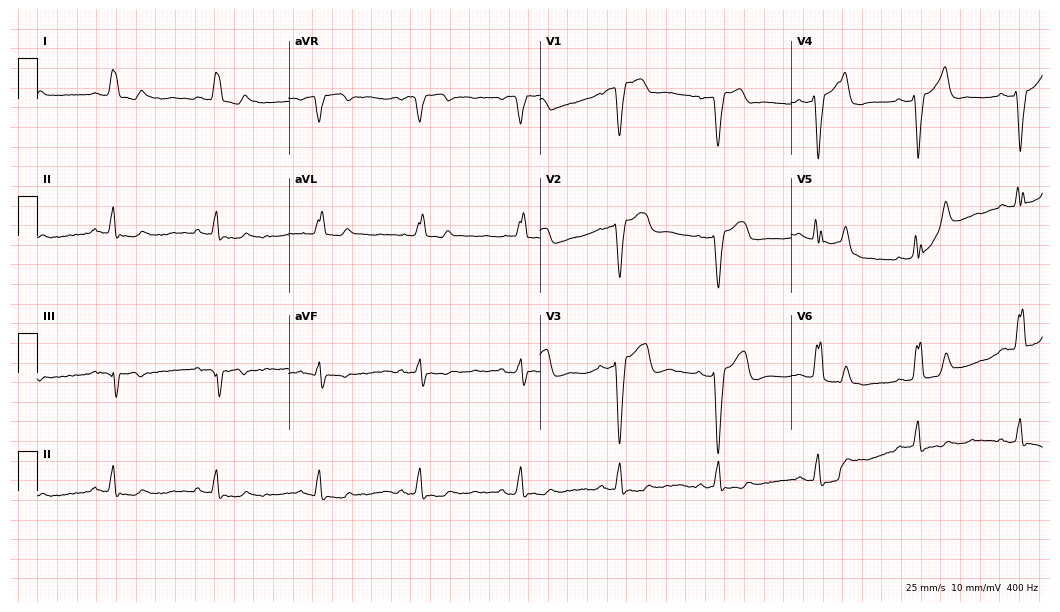
ECG — an 82-year-old male patient. Findings include left bundle branch block.